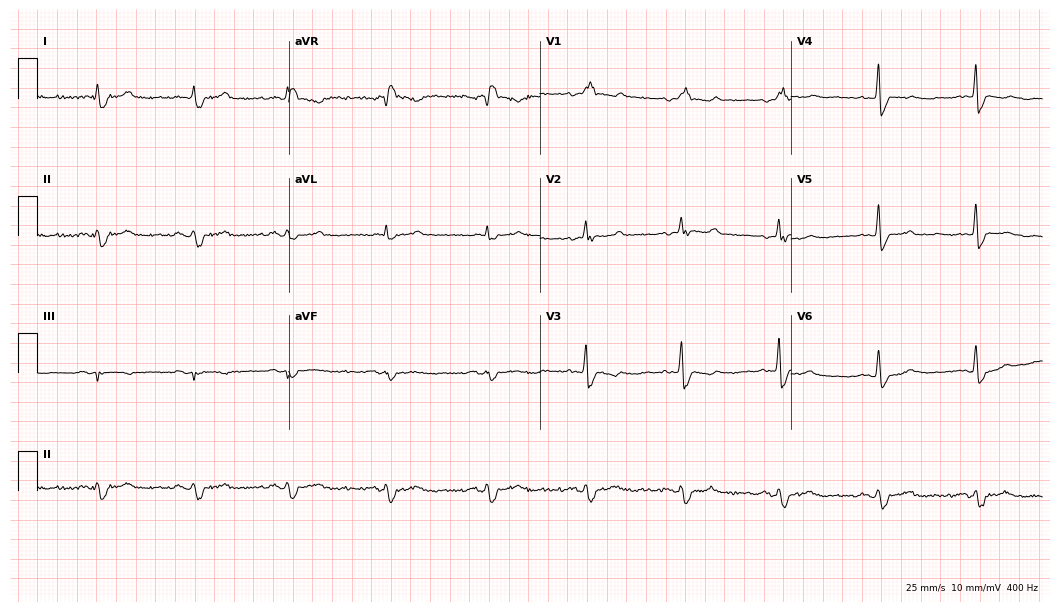
Resting 12-lead electrocardiogram. Patient: a 71-year-old man. None of these six findings is recorded: first-degree AV block, right bundle branch block, left bundle branch block, sinus bradycardia, atrial fibrillation, sinus tachycardia.